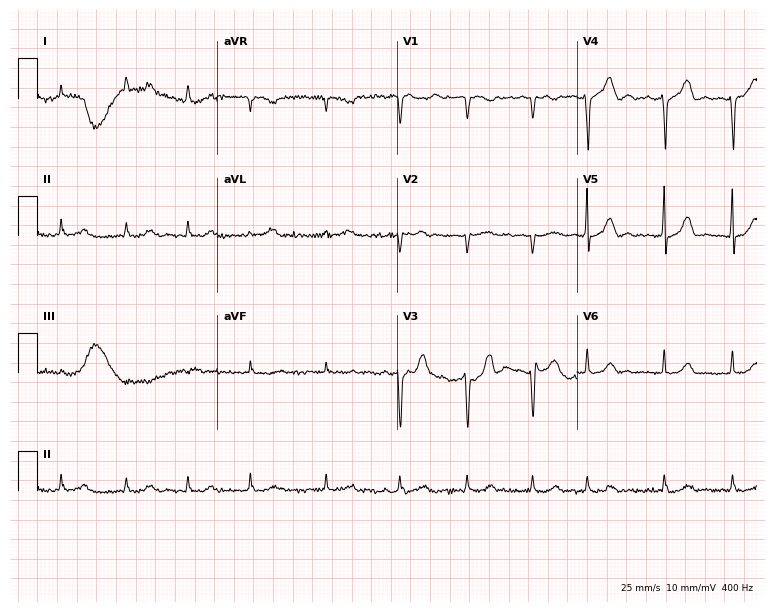
Electrocardiogram, a 78-year-old female. Interpretation includes atrial fibrillation.